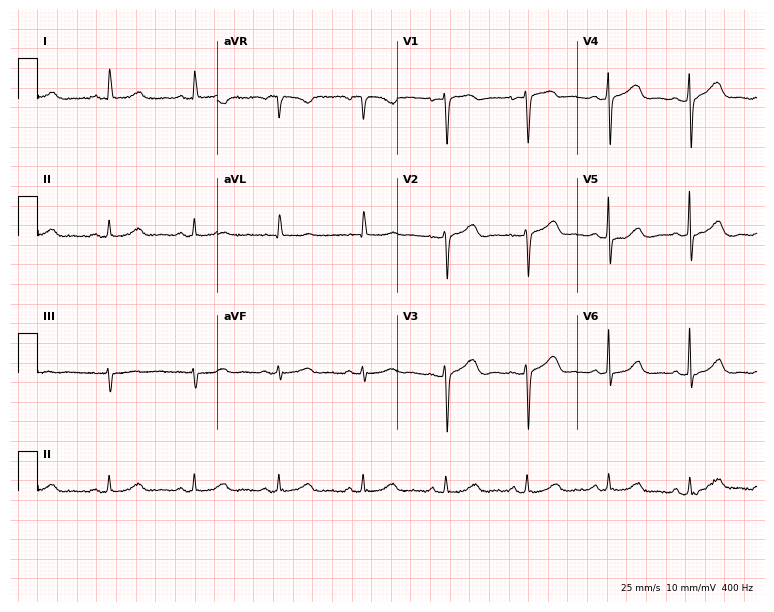
ECG — a 58-year-old woman. Labelled as a normal ECG.